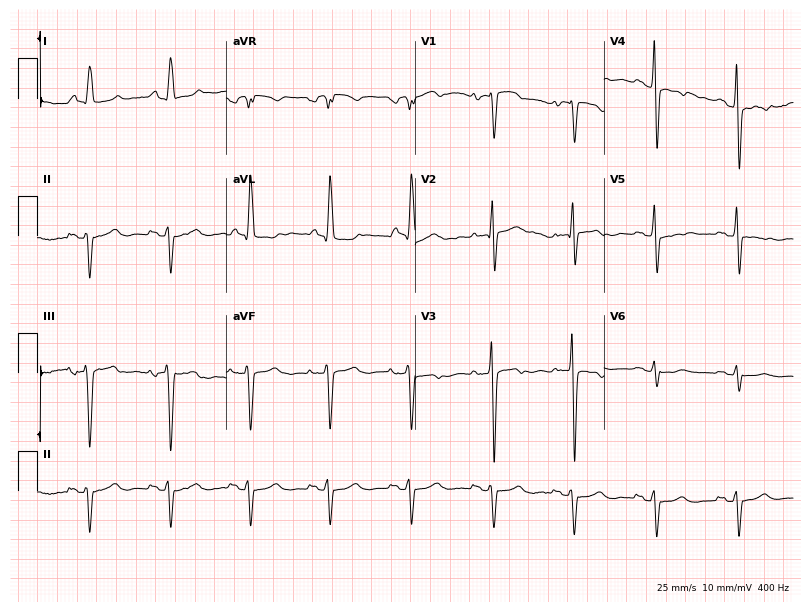
12-lead ECG from a female, 43 years old (7.7-second recording at 400 Hz). No first-degree AV block, right bundle branch block, left bundle branch block, sinus bradycardia, atrial fibrillation or sinus tachycardia recorded for this tracing.